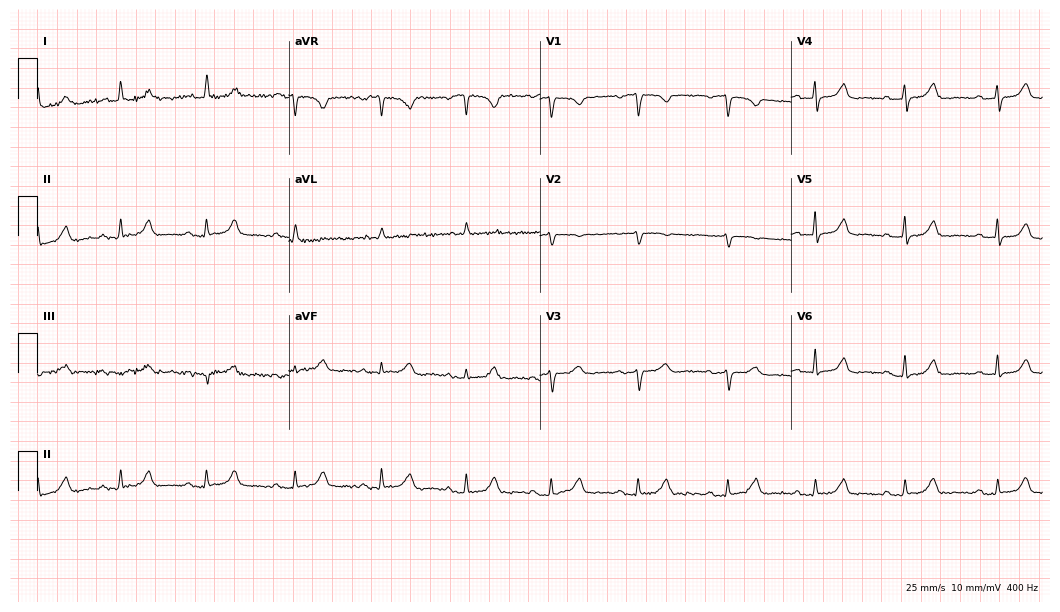
12-lead ECG from a woman, 72 years old. Labelled as a normal ECG.